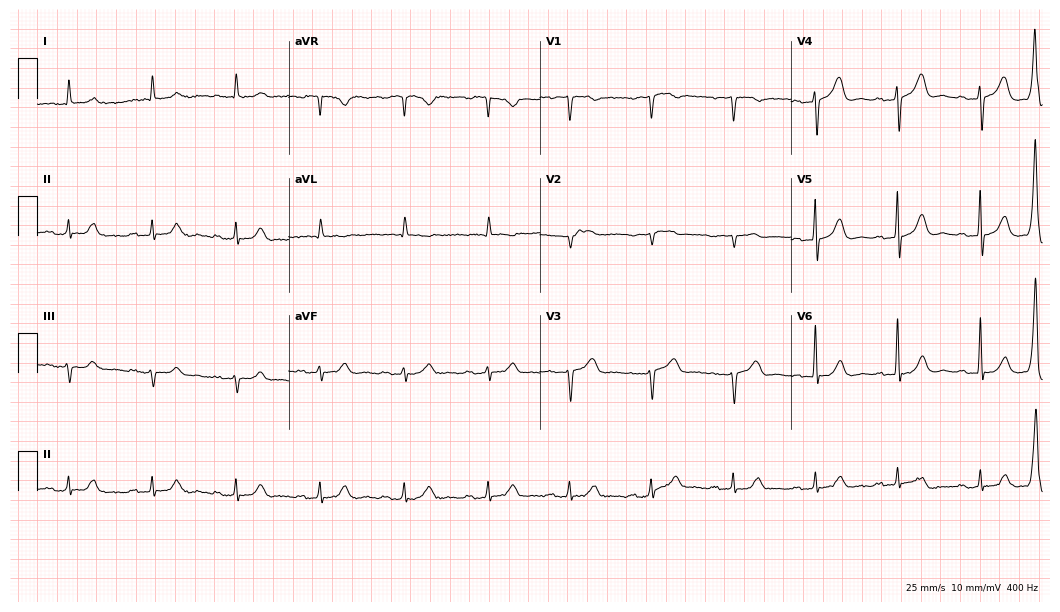
Electrocardiogram, a man, 85 years old. Interpretation includes first-degree AV block.